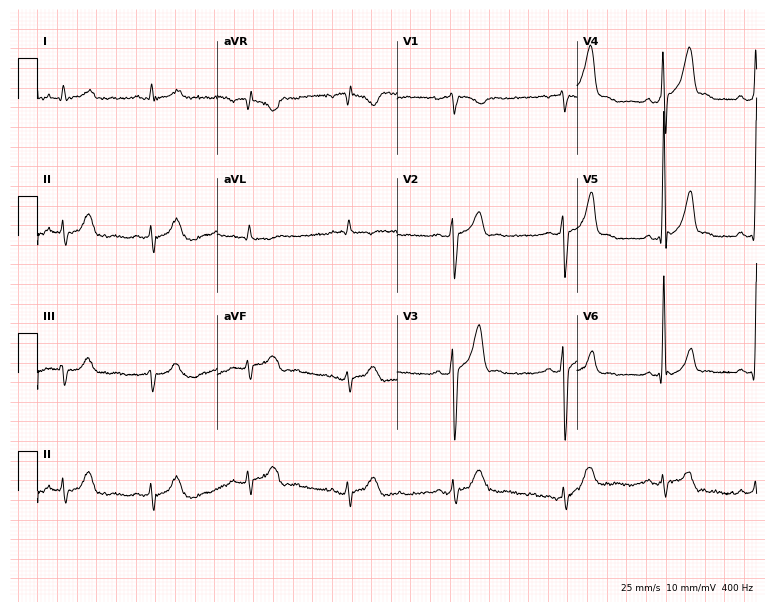
Resting 12-lead electrocardiogram (7.3-second recording at 400 Hz). Patient: a man, 35 years old. None of these six findings is recorded: first-degree AV block, right bundle branch block, left bundle branch block, sinus bradycardia, atrial fibrillation, sinus tachycardia. Other findings, if any, are not listed.